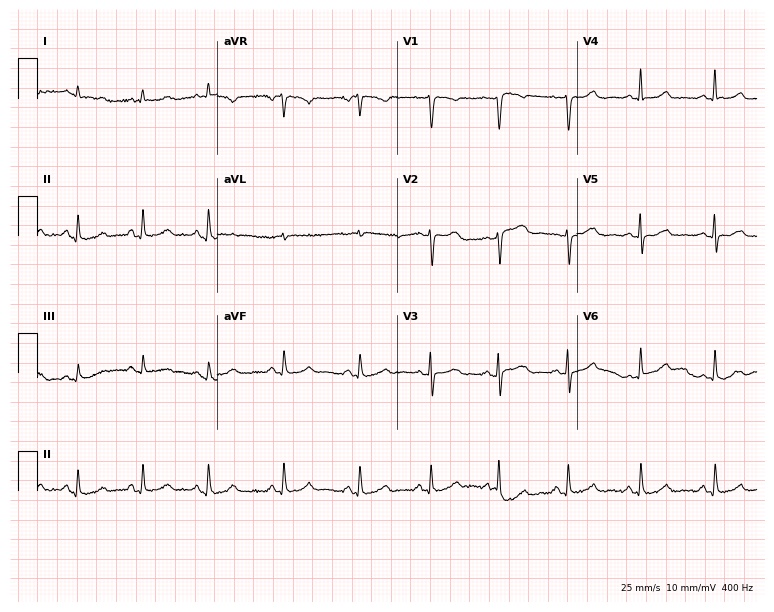
ECG (7.3-second recording at 400 Hz) — a female patient, 39 years old. Screened for six findings — first-degree AV block, right bundle branch block, left bundle branch block, sinus bradycardia, atrial fibrillation, sinus tachycardia — none is recorded. Only these six findings were labelled.